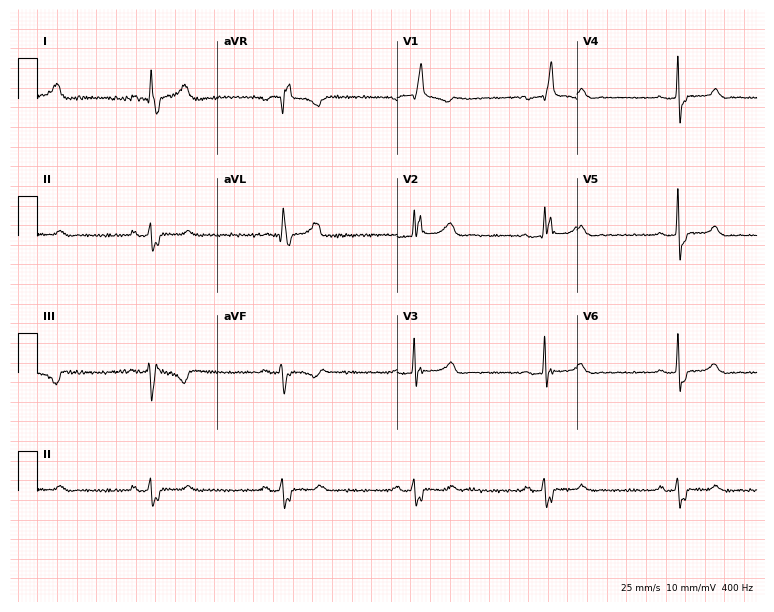
ECG (7.3-second recording at 400 Hz) — a woman, 68 years old. Findings include right bundle branch block.